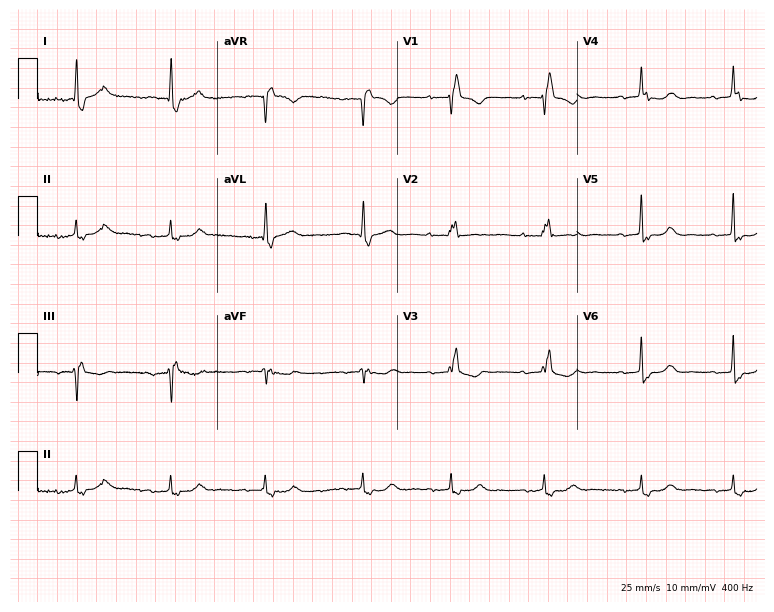
12-lead ECG from a female patient, 26 years old. Findings include right bundle branch block.